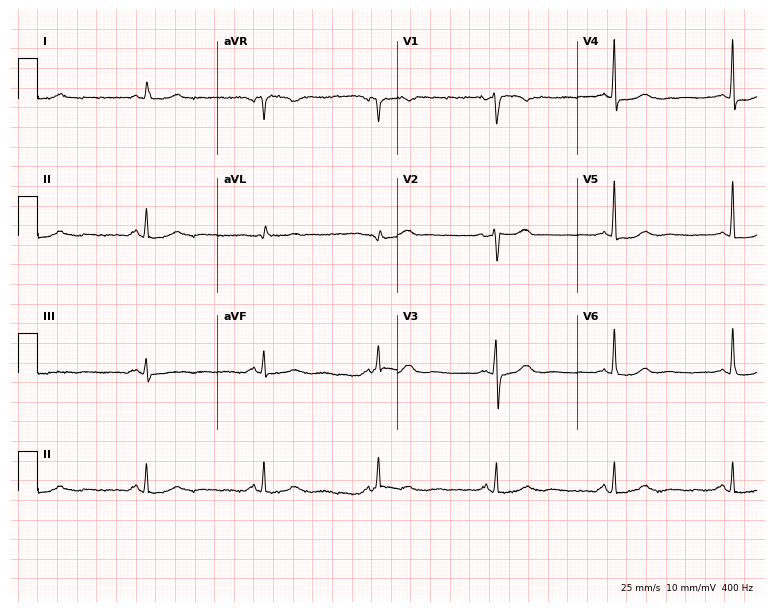
Electrocardiogram, a 54-year-old female. Of the six screened findings (first-degree AV block, right bundle branch block, left bundle branch block, sinus bradycardia, atrial fibrillation, sinus tachycardia), none is recorded. Other findings, if any, are not listed.